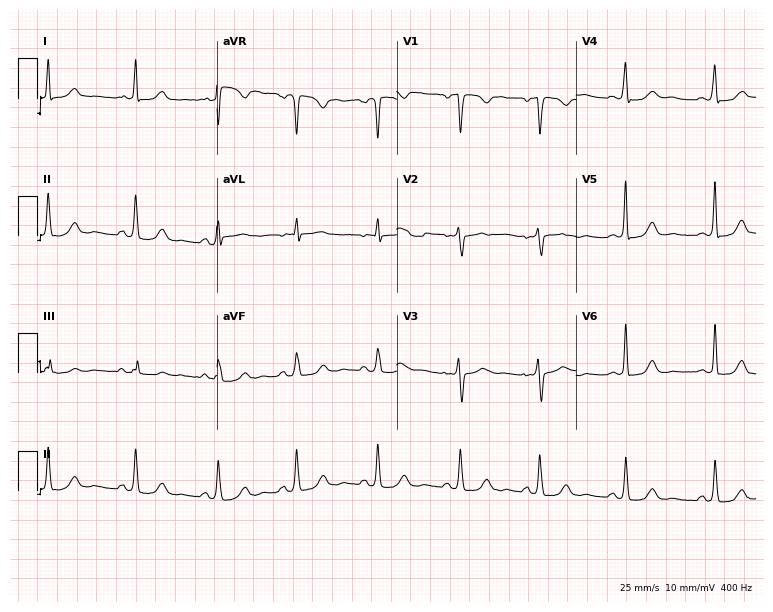
12-lead ECG (7.3-second recording at 400 Hz) from a woman, 28 years old. Labelled as a normal ECG.